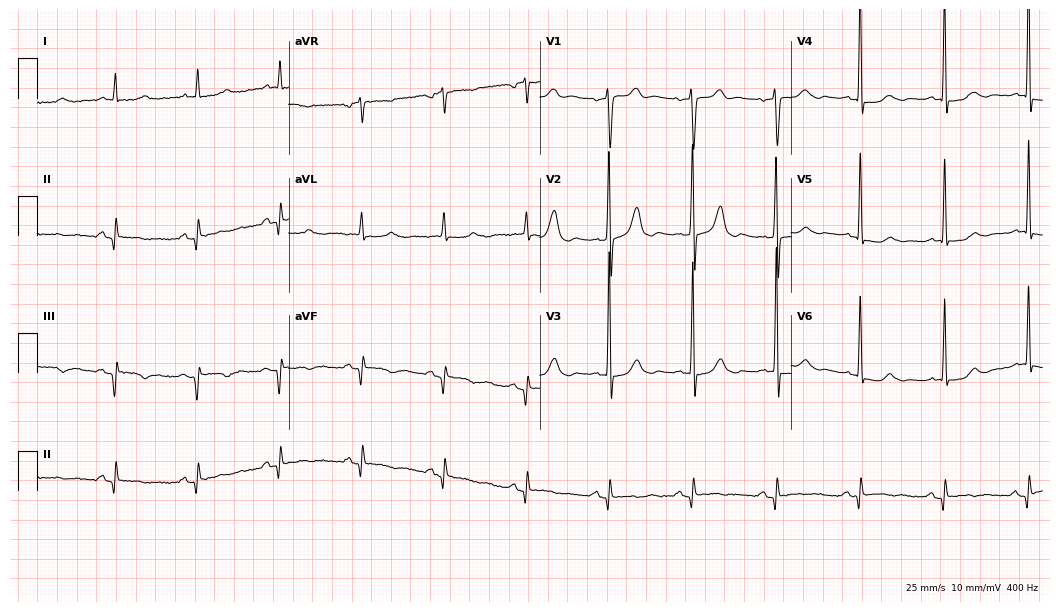
12-lead ECG (10.2-second recording at 400 Hz) from a 72-year-old man. Screened for six findings — first-degree AV block, right bundle branch block, left bundle branch block, sinus bradycardia, atrial fibrillation, sinus tachycardia — none is recorded. Findings outside these six are not listed.